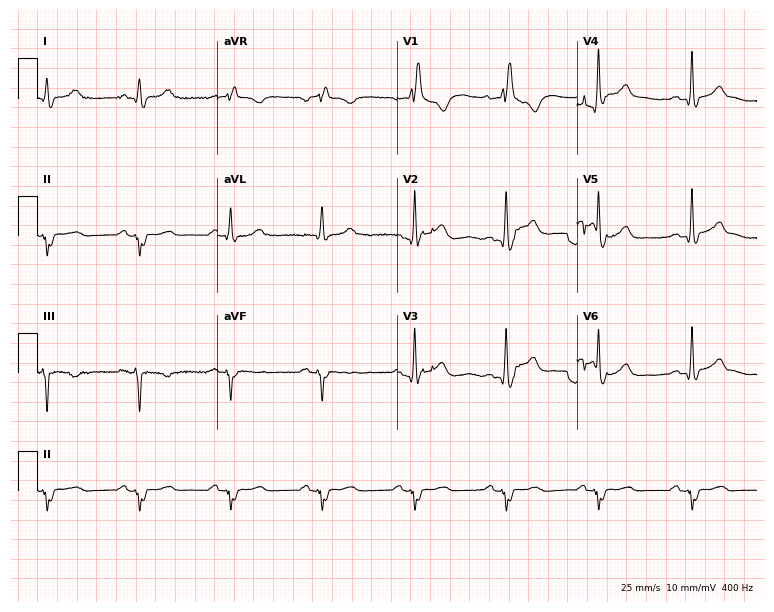
12-lead ECG (7.3-second recording at 400 Hz) from a man, 54 years old. Findings include right bundle branch block.